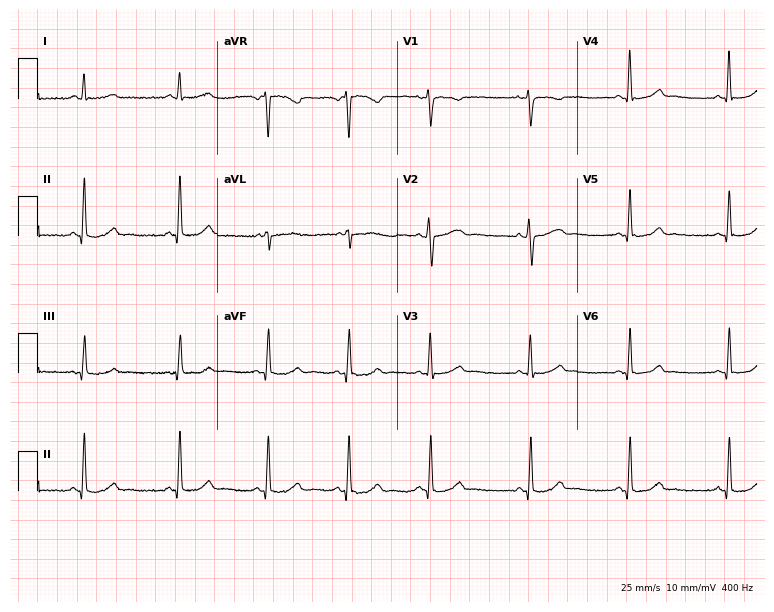
ECG (7.3-second recording at 400 Hz) — a 35-year-old female. Labelled as a normal ECG.